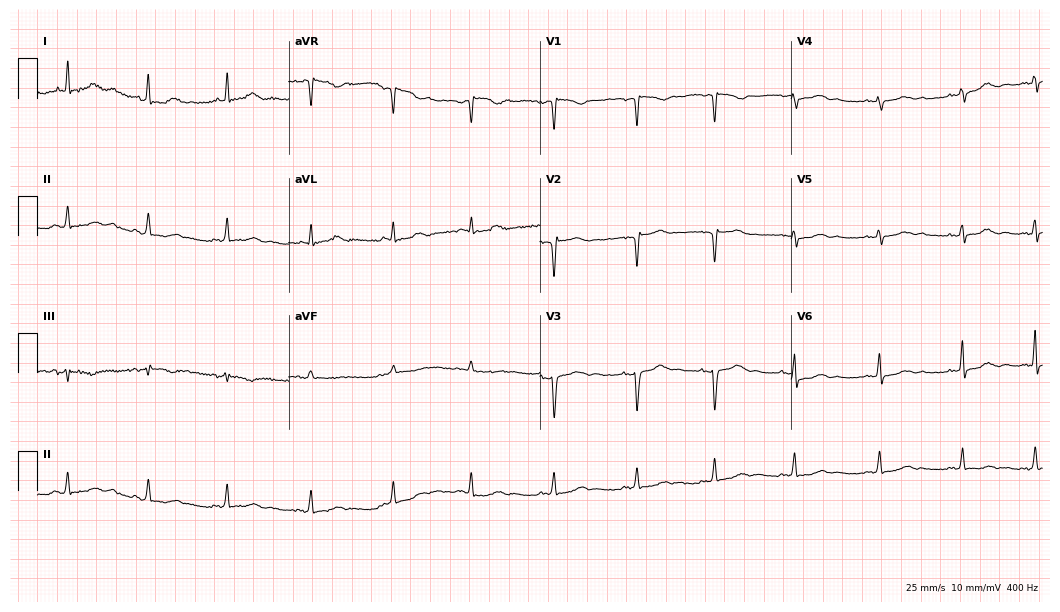
Electrocardiogram, a 41-year-old female patient. Of the six screened findings (first-degree AV block, right bundle branch block (RBBB), left bundle branch block (LBBB), sinus bradycardia, atrial fibrillation (AF), sinus tachycardia), none is recorded.